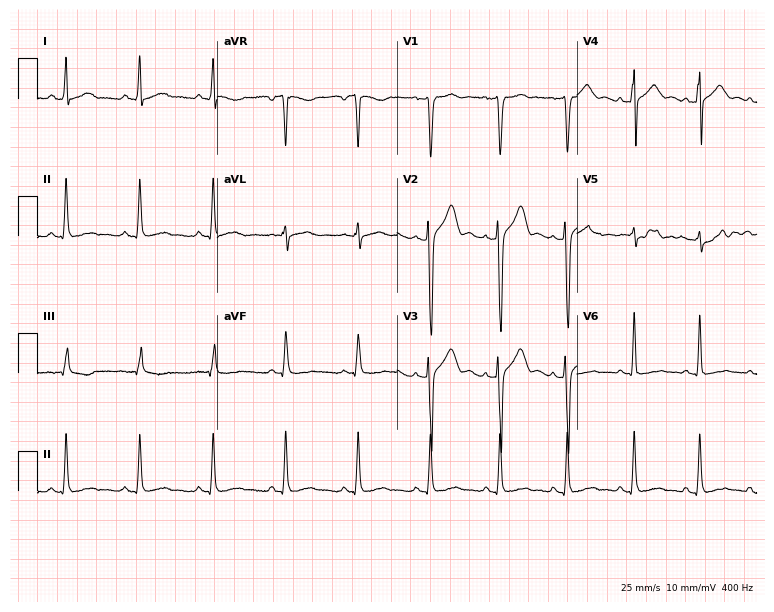
ECG (7.3-second recording at 400 Hz) — a male patient, 34 years old. Screened for six findings — first-degree AV block, right bundle branch block, left bundle branch block, sinus bradycardia, atrial fibrillation, sinus tachycardia — none is recorded.